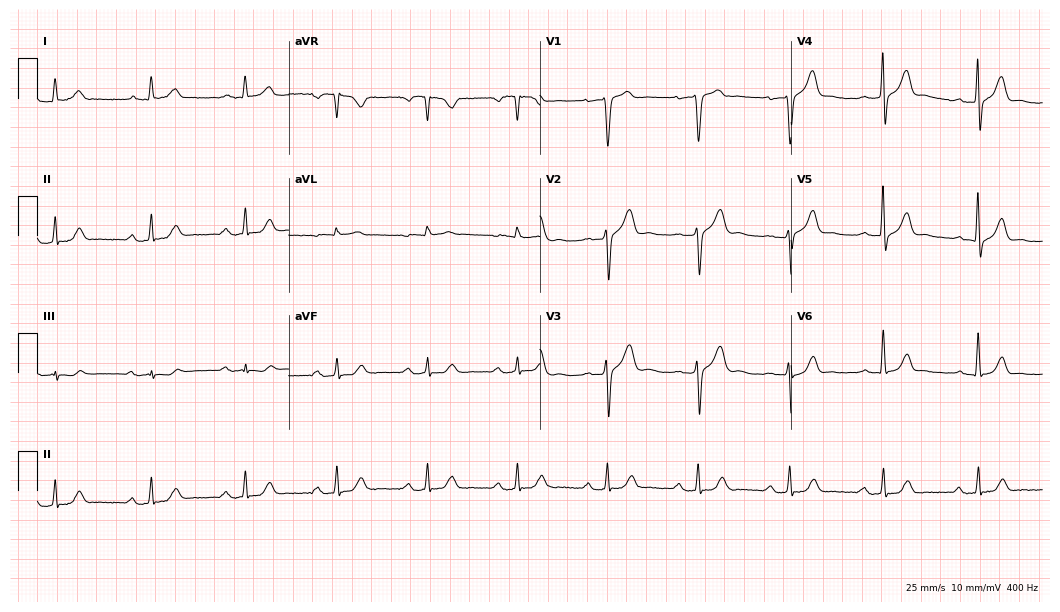
Resting 12-lead electrocardiogram (10.2-second recording at 400 Hz). Patient: a man, 56 years old. The tracing shows first-degree AV block.